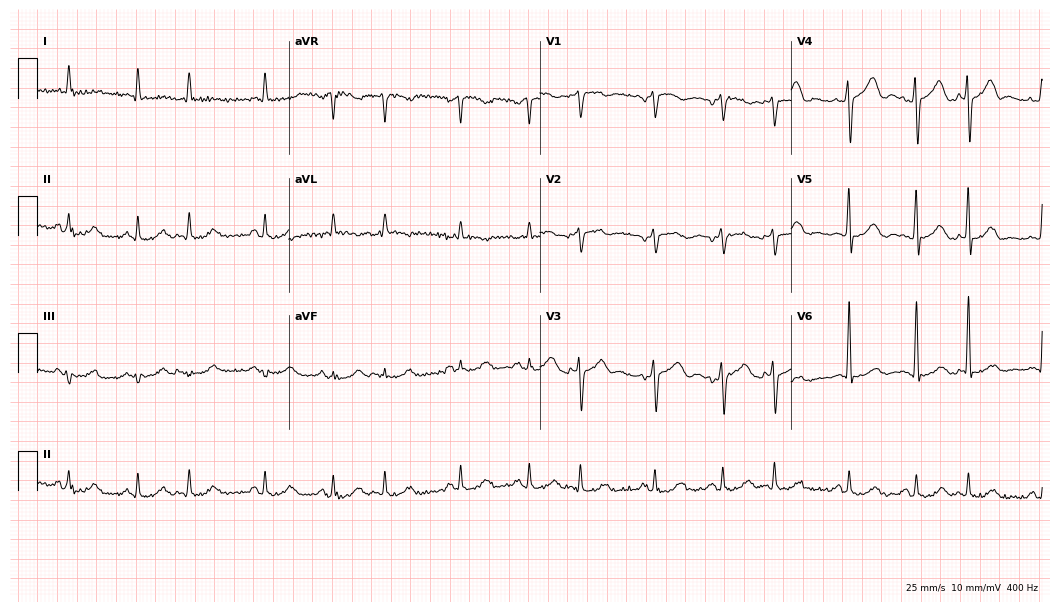
Resting 12-lead electrocardiogram. Patient: an 80-year-old male. None of these six findings is recorded: first-degree AV block, right bundle branch block, left bundle branch block, sinus bradycardia, atrial fibrillation, sinus tachycardia. Other findings, if any, are not listed.